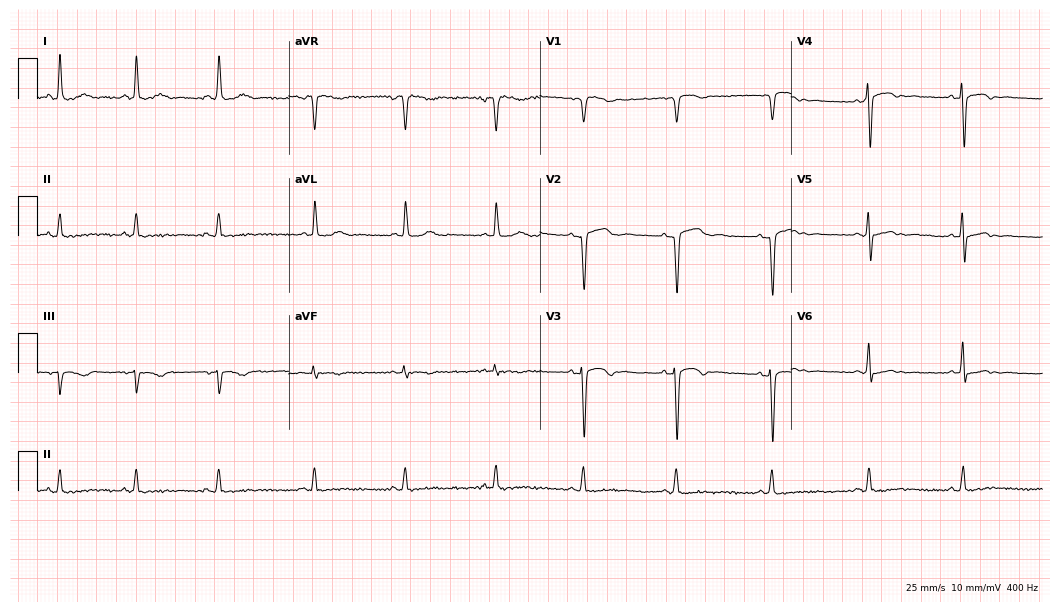
Resting 12-lead electrocardiogram. Patient: a woman, 57 years old. None of these six findings is recorded: first-degree AV block, right bundle branch block, left bundle branch block, sinus bradycardia, atrial fibrillation, sinus tachycardia.